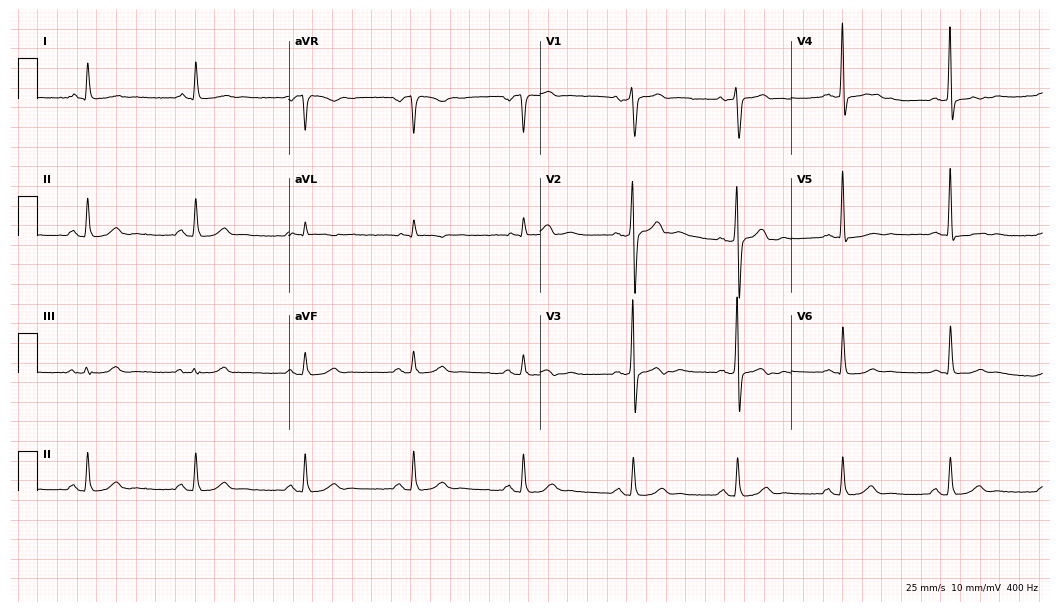
Standard 12-lead ECG recorded from a 55-year-old male patient. None of these six findings is recorded: first-degree AV block, right bundle branch block, left bundle branch block, sinus bradycardia, atrial fibrillation, sinus tachycardia.